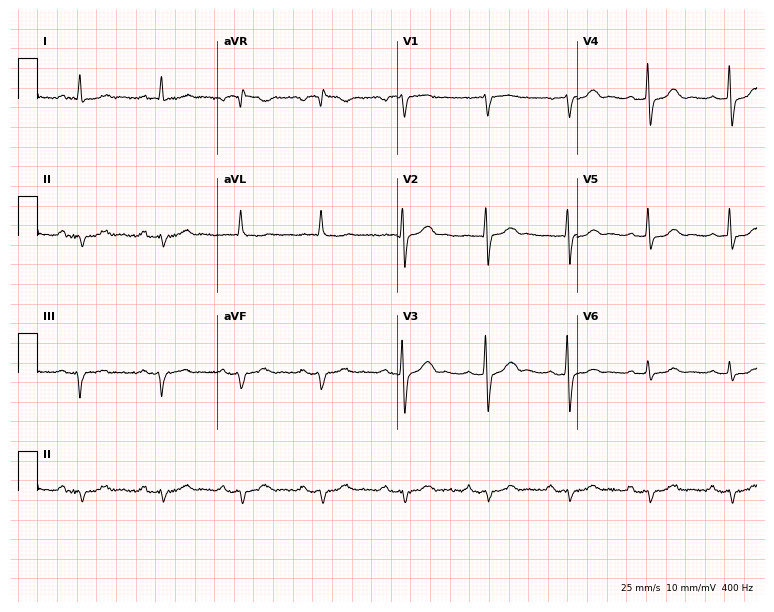
ECG (7.3-second recording at 400 Hz) — a male, 76 years old. Screened for six findings — first-degree AV block, right bundle branch block, left bundle branch block, sinus bradycardia, atrial fibrillation, sinus tachycardia — none is recorded.